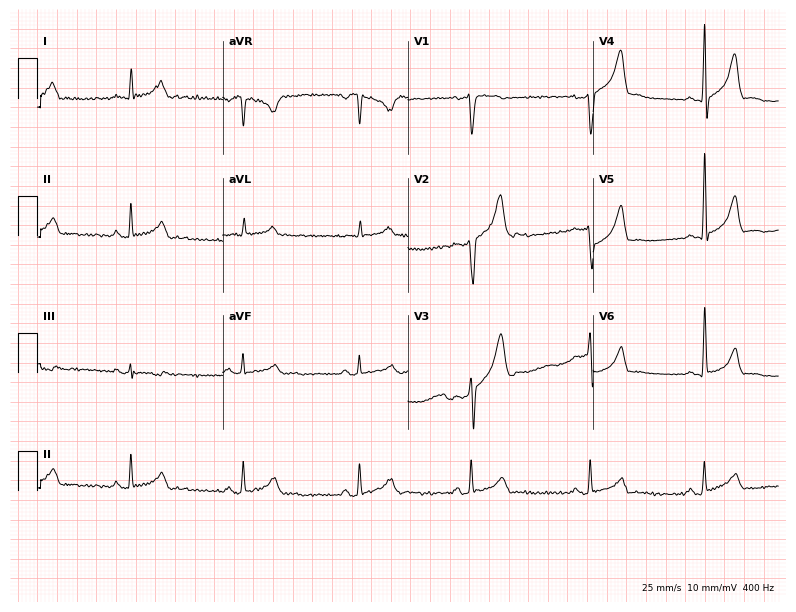
Resting 12-lead electrocardiogram (7.6-second recording at 400 Hz). Patient: a male, 45 years old. None of these six findings is recorded: first-degree AV block, right bundle branch block, left bundle branch block, sinus bradycardia, atrial fibrillation, sinus tachycardia.